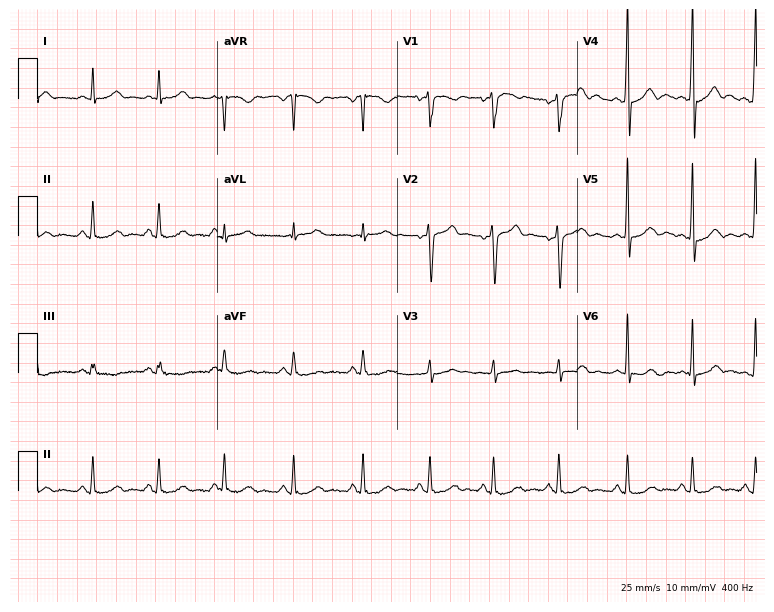
12-lead ECG from a 38-year-old male. Labelled as a normal ECG.